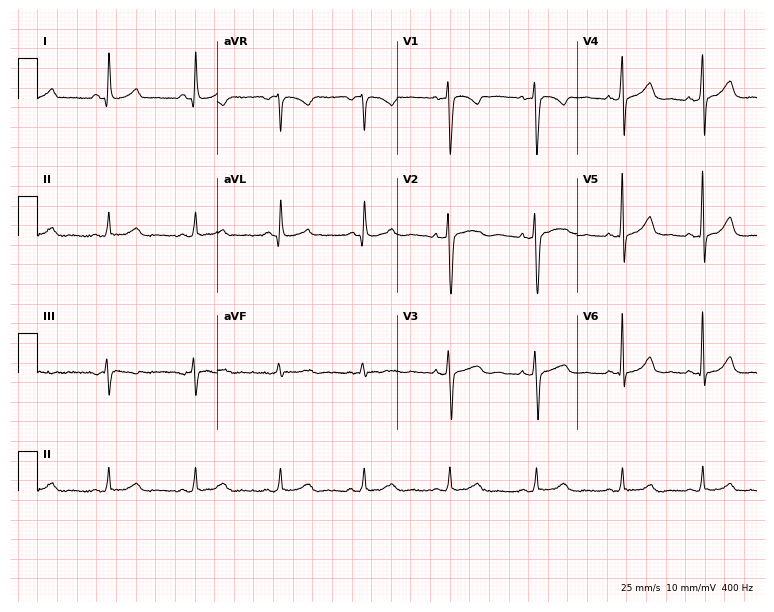
Resting 12-lead electrocardiogram (7.3-second recording at 400 Hz). Patient: a woman, 38 years old. None of these six findings is recorded: first-degree AV block, right bundle branch block, left bundle branch block, sinus bradycardia, atrial fibrillation, sinus tachycardia.